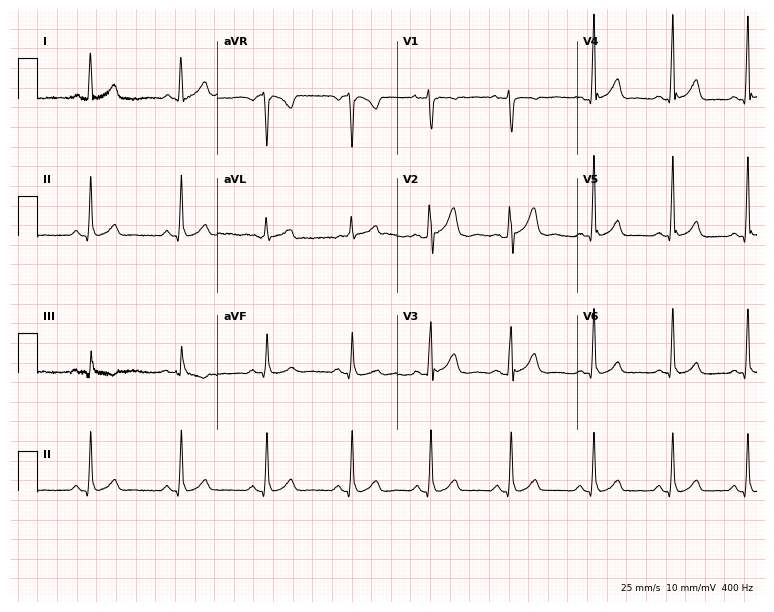
ECG (7.3-second recording at 400 Hz) — a 34-year-old male patient. Labelled as a normal ECG.